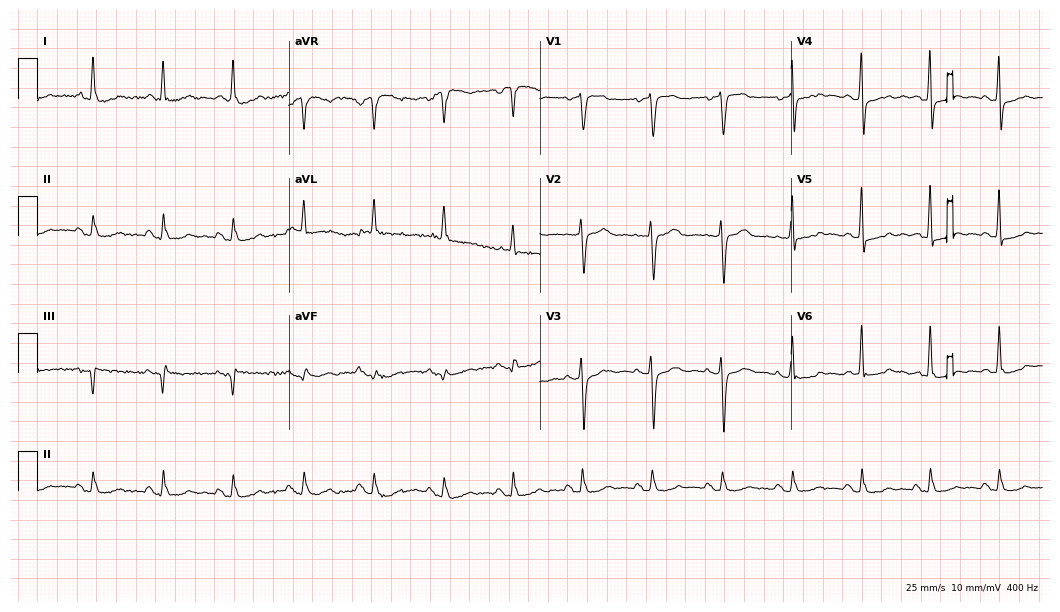
Resting 12-lead electrocardiogram (10.2-second recording at 400 Hz). Patient: a 72-year-old woman. None of these six findings is recorded: first-degree AV block, right bundle branch block, left bundle branch block, sinus bradycardia, atrial fibrillation, sinus tachycardia.